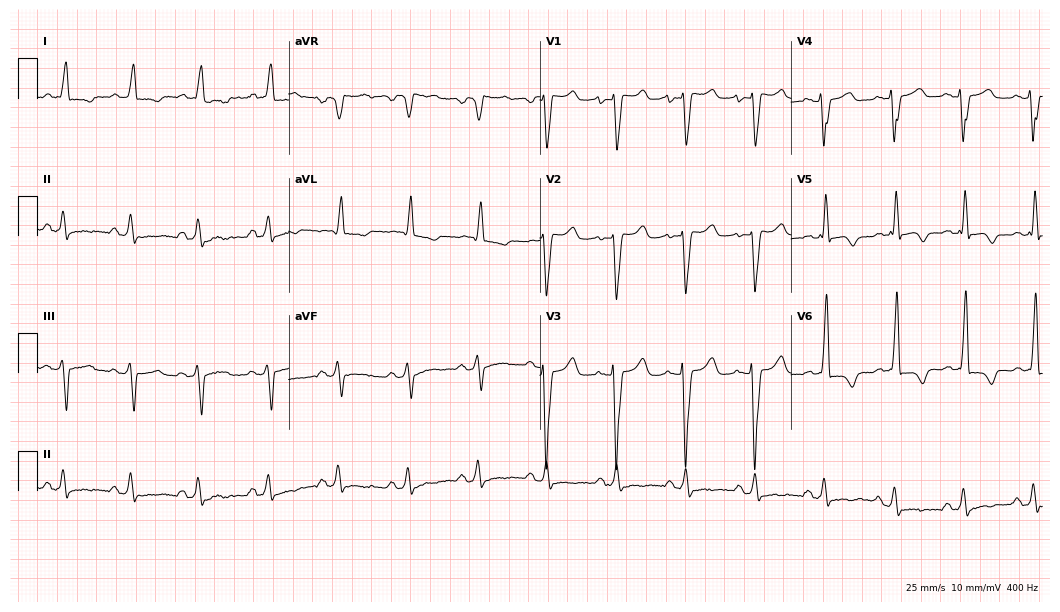
12-lead ECG from a 49-year-old female (10.2-second recording at 400 Hz). No first-degree AV block, right bundle branch block (RBBB), left bundle branch block (LBBB), sinus bradycardia, atrial fibrillation (AF) or sinus tachycardia recorded for this tracing. Only these six findings were labelled.